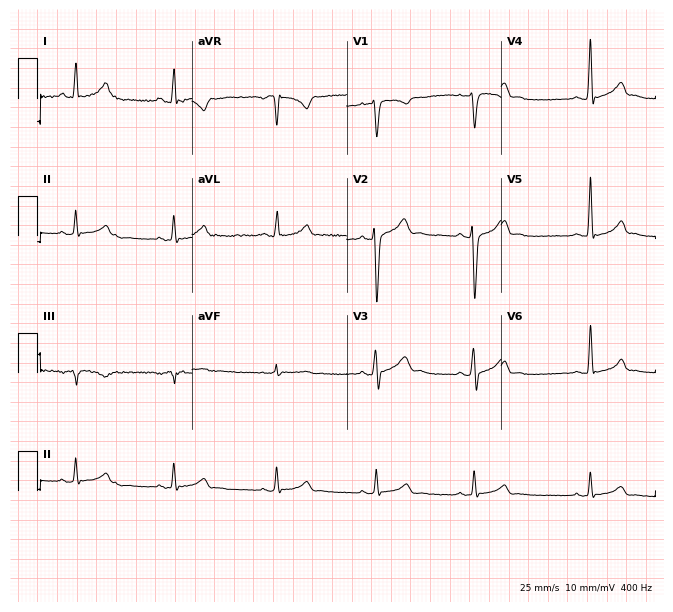
Electrocardiogram, a male patient, 24 years old. Of the six screened findings (first-degree AV block, right bundle branch block, left bundle branch block, sinus bradycardia, atrial fibrillation, sinus tachycardia), none is recorded.